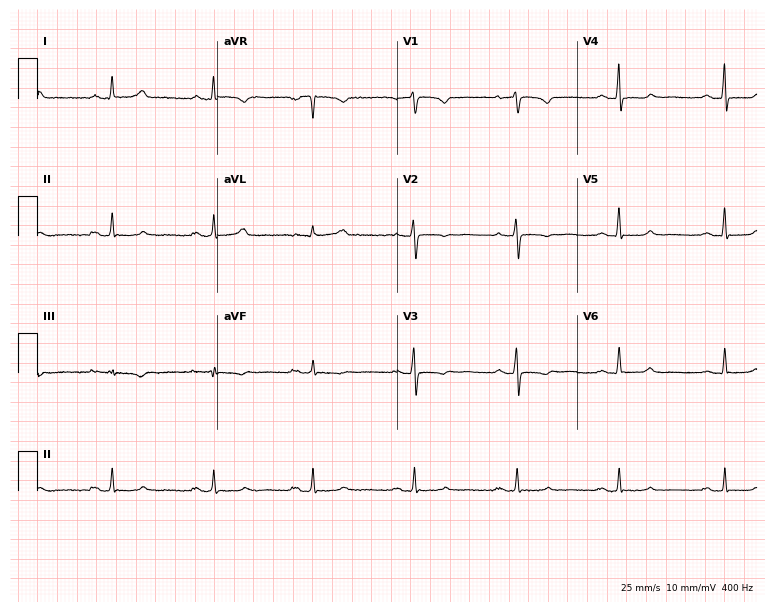
Standard 12-lead ECG recorded from a 55-year-old female (7.3-second recording at 400 Hz). Read as a normal ECG.